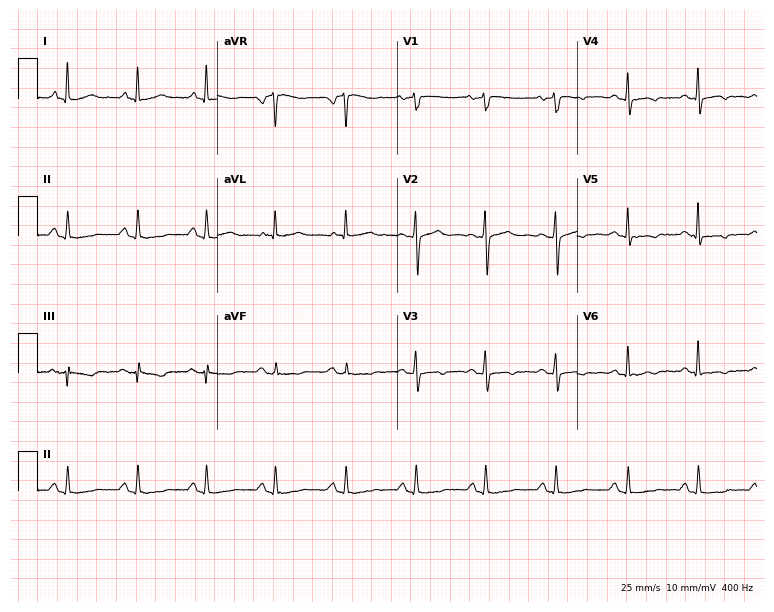
12-lead ECG from a female, 52 years old. Screened for six findings — first-degree AV block, right bundle branch block (RBBB), left bundle branch block (LBBB), sinus bradycardia, atrial fibrillation (AF), sinus tachycardia — none is recorded.